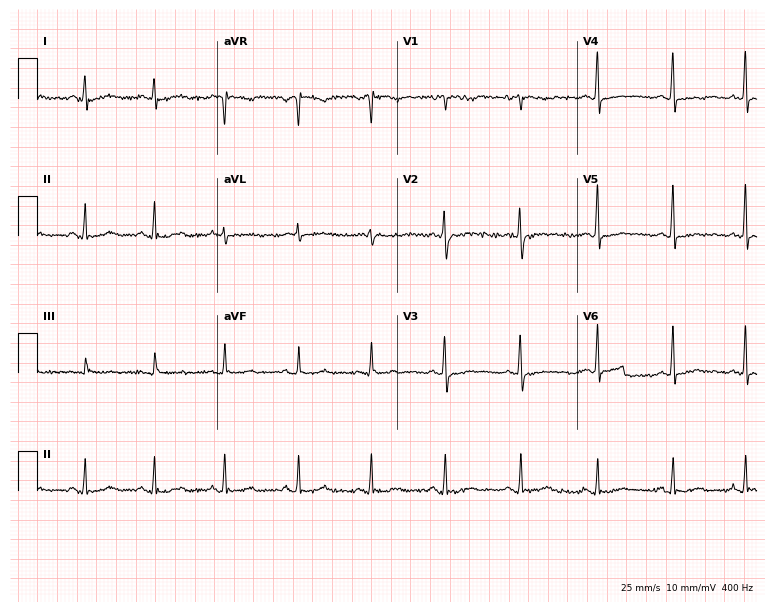
ECG (7.3-second recording at 400 Hz) — a 40-year-old female patient. Labelled as a normal ECG.